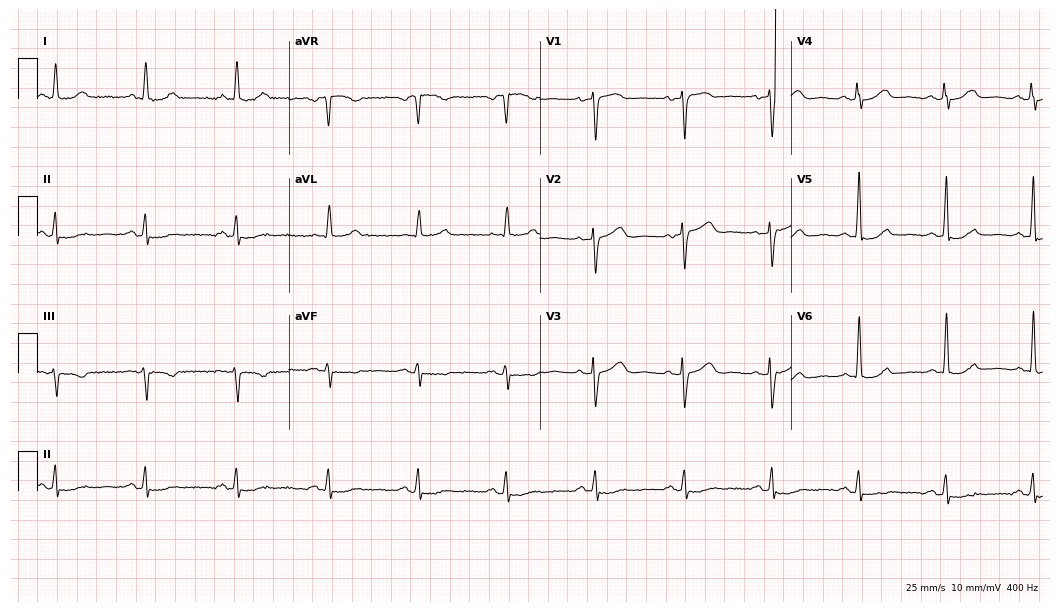
Electrocardiogram (10.2-second recording at 400 Hz), a 63-year-old female. Of the six screened findings (first-degree AV block, right bundle branch block, left bundle branch block, sinus bradycardia, atrial fibrillation, sinus tachycardia), none is recorded. Other findings, if any, are not listed.